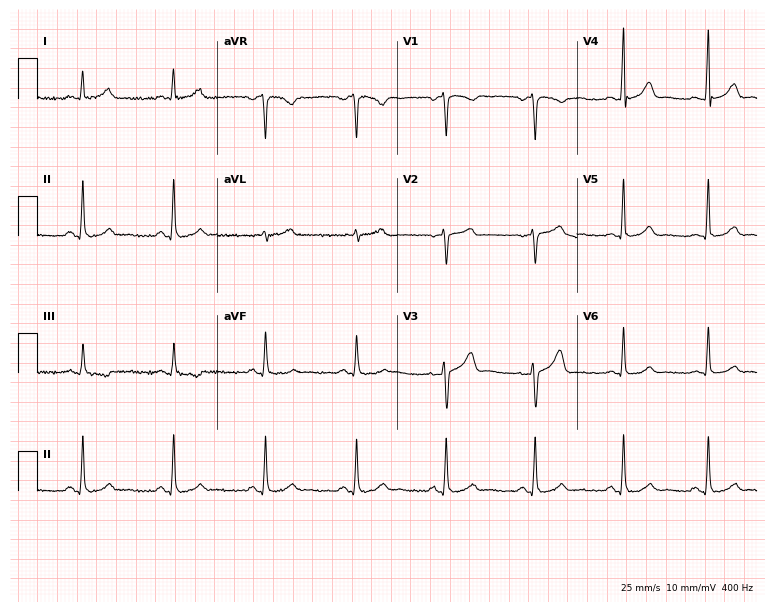
ECG (7.3-second recording at 400 Hz) — a 55-year-old male patient. Labelled as a normal ECG.